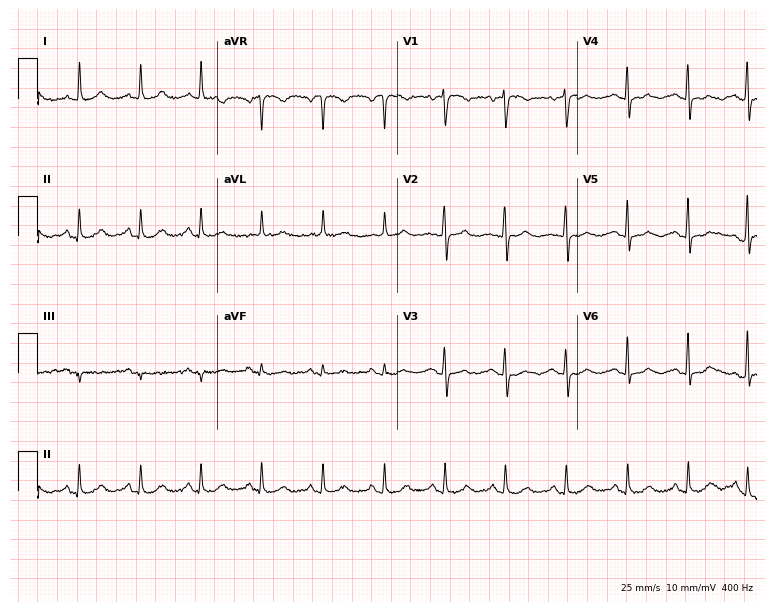
Electrocardiogram, a 57-year-old female patient. Of the six screened findings (first-degree AV block, right bundle branch block, left bundle branch block, sinus bradycardia, atrial fibrillation, sinus tachycardia), none is recorded.